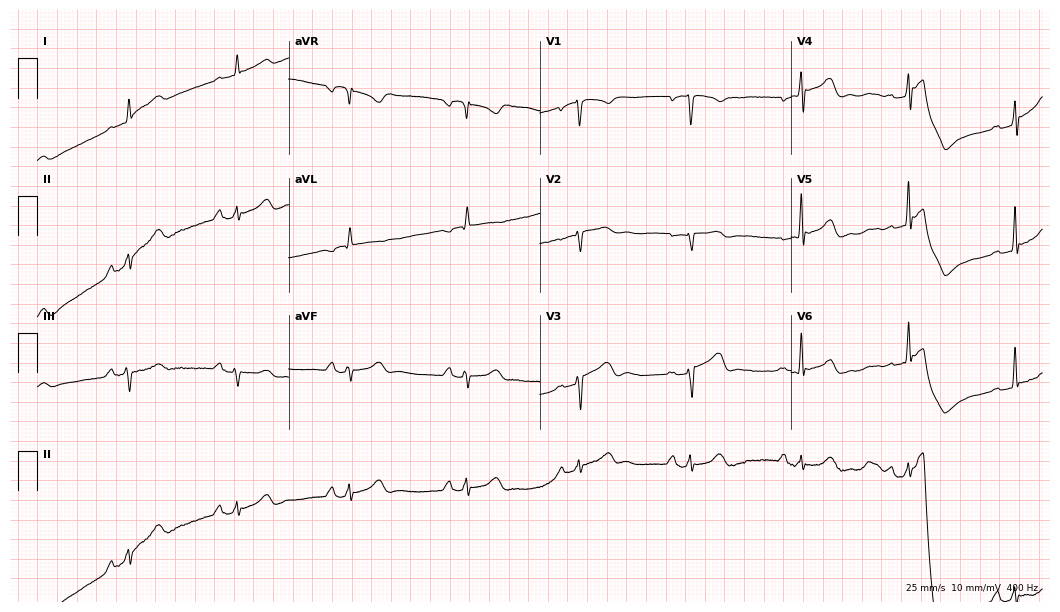
12-lead ECG from a 76-year-old male patient. No first-degree AV block, right bundle branch block (RBBB), left bundle branch block (LBBB), sinus bradycardia, atrial fibrillation (AF) or sinus tachycardia recorded for this tracing.